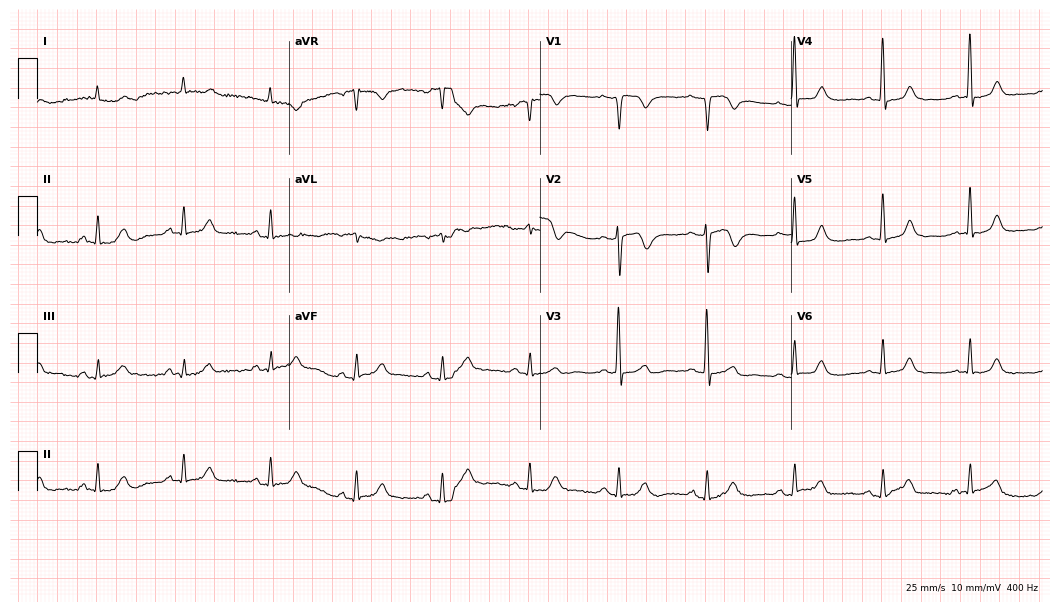
Resting 12-lead electrocardiogram (10.2-second recording at 400 Hz). Patient: a man, 79 years old. None of these six findings is recorded: first-degree AV block, right bundle branch block (RBBB), left bundle branch block (LBBB), sinus bradycardia, atrial fibrillation (AF), sinus tachycardia.